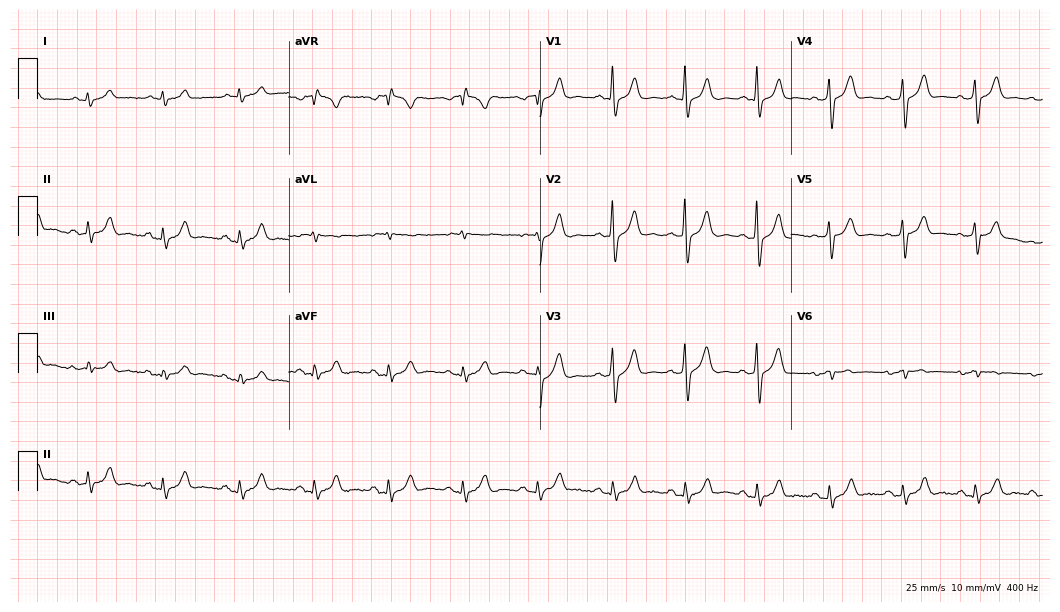
ECG (10.2-second recording at 400 Hz) — a 60-year-old man. Screened for six findings — first-degree AV block, right bundle branch block, left bundle branch block, sinus bradycardia, atrial fibrillation, sinus tachycardia — none is recorded. Other findings, if any, are not listed.